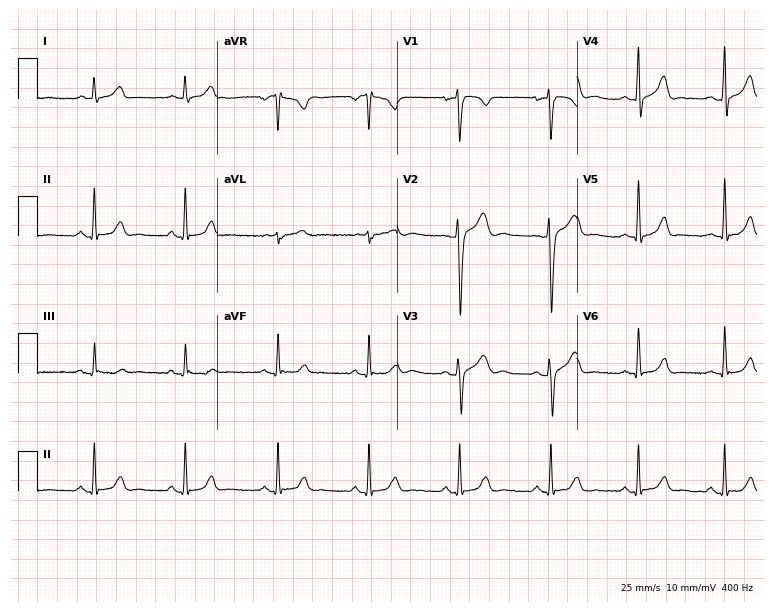
Resting 12-lead electrocardiogram. Patient: a male, 28 years old. Read as a normal ECG.